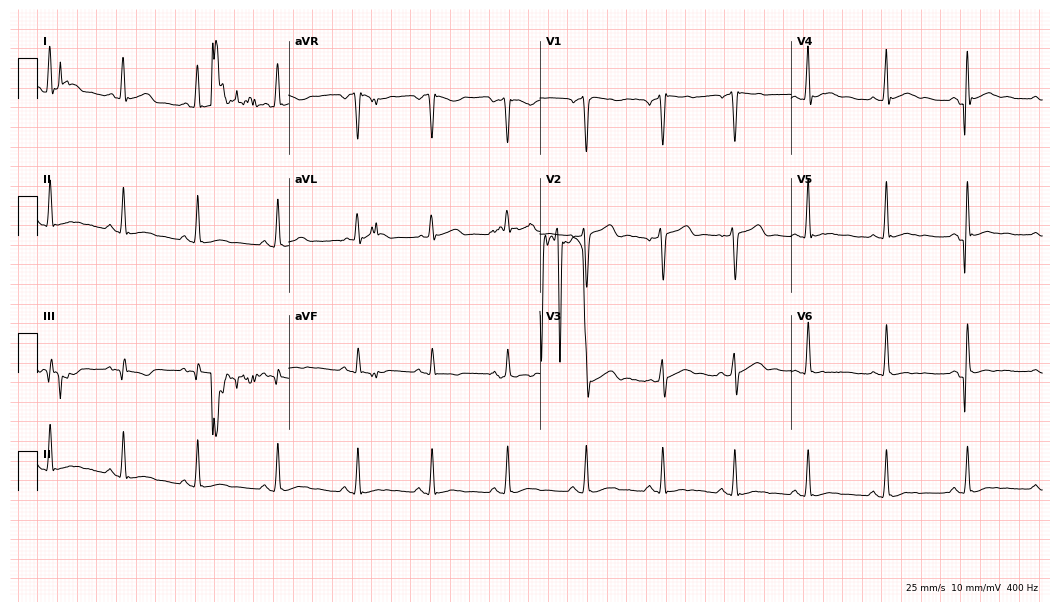
12-lead ECG from a man, 26 years old. Recorded interpretation: within normal limits.